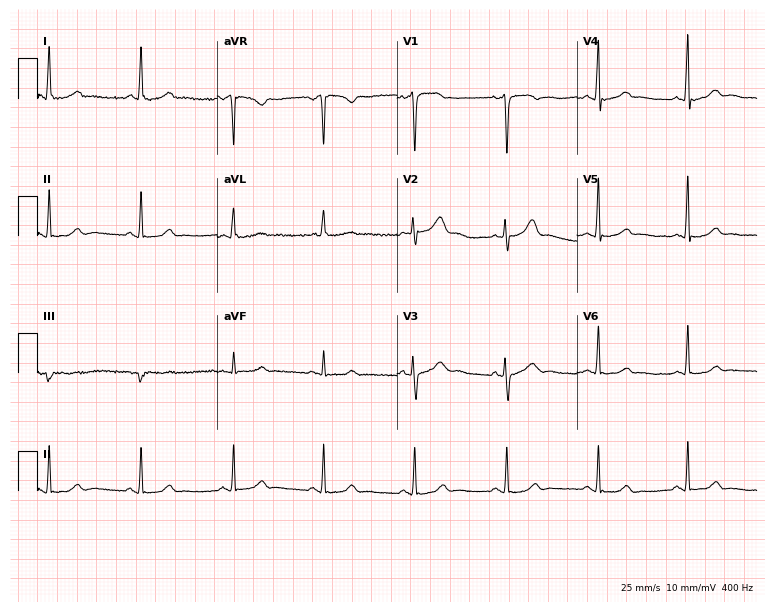
12-lead ECG from a 50-year-old female patient (7.3-second recording at 400 Hz). Recorded interpretation: within normal limits.